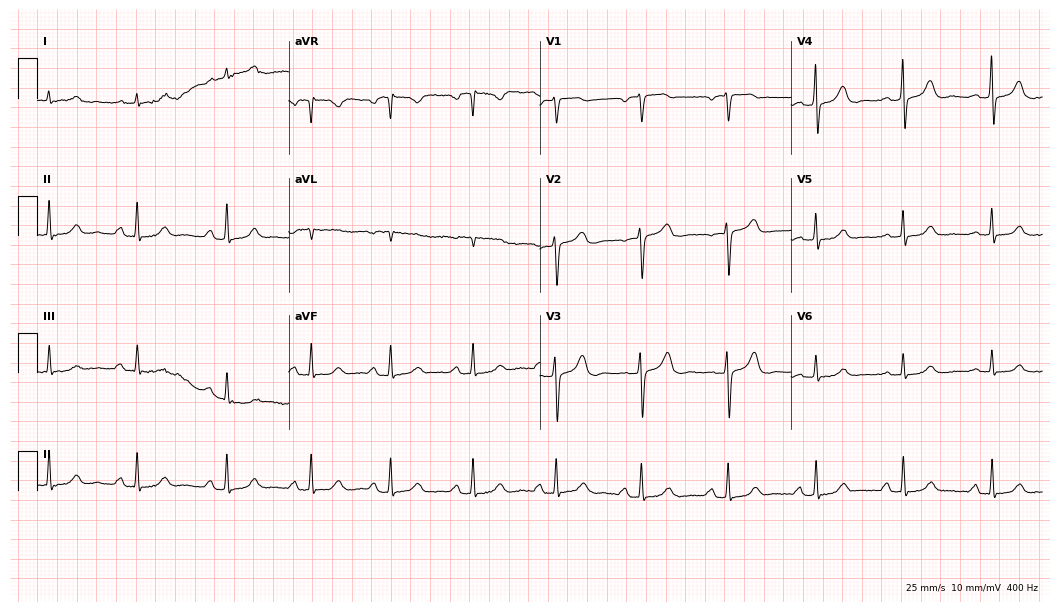
Resting 12-lead electrocardiogram. Patient: a 78-year-old female. Read as a normal ECG.